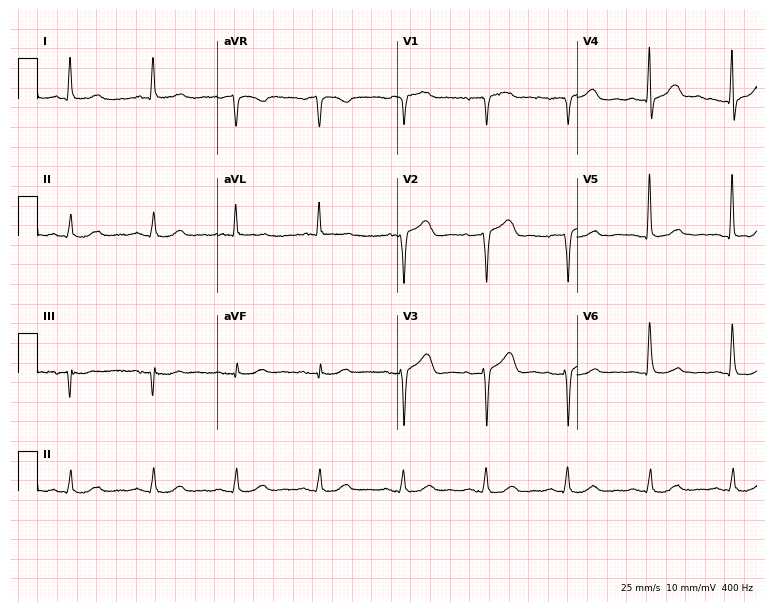
12-lead ECG from a 66-year-old male patient. Screened for six findings — first-degree AV block, right bundle branch block, left bundle branch block, sinus bradycardia, atrial fibrillation, sinus tachycardia — none is recorded. Findings outside these six are not listed.